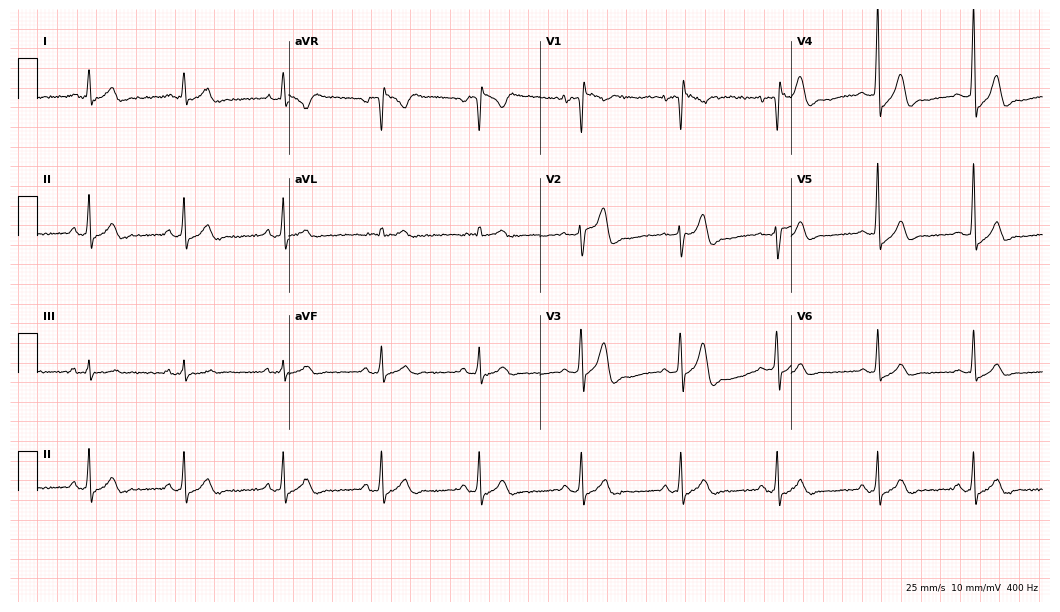
Electrocardiogram, a 44-year-old man. Of the six screened findings (first-degree AV block, right bundle branch block, left bundle branch block, sinus bradycardia, atrial fibrillation, sinus tachycardia), none is recorded.